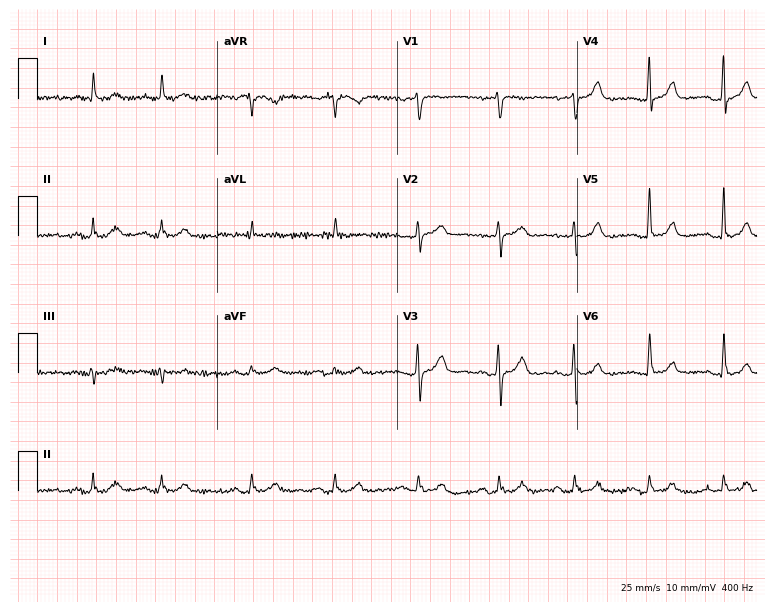
Resting 12-lead electrocardiogram (7.3-second recording at 400 Hz). Patient: a male, 79 years old. None of these six findings is recorded: first-degree AV block, right bundle branch block, left bundle branch block, sinus bradycardia, atrial fibrillation, sinus tachycardia. Findings outside these six are not listed.